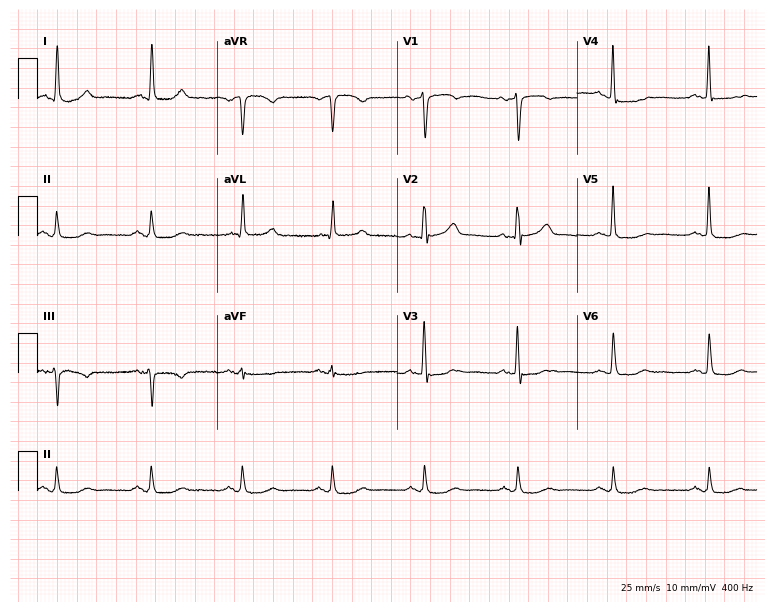
Resting 12-lead electrocardiogram (7.3-second recording at 400 Hz). Patient: a 53-year-old female. None of these six findings is recorded: first-degree AV block, right bundle branch block (RBBB), left bundle branch block (LBBB), sinus bradycardia, atrial fibrillation (AF), sinus tachycardia. Other findings, if any, are not listed.